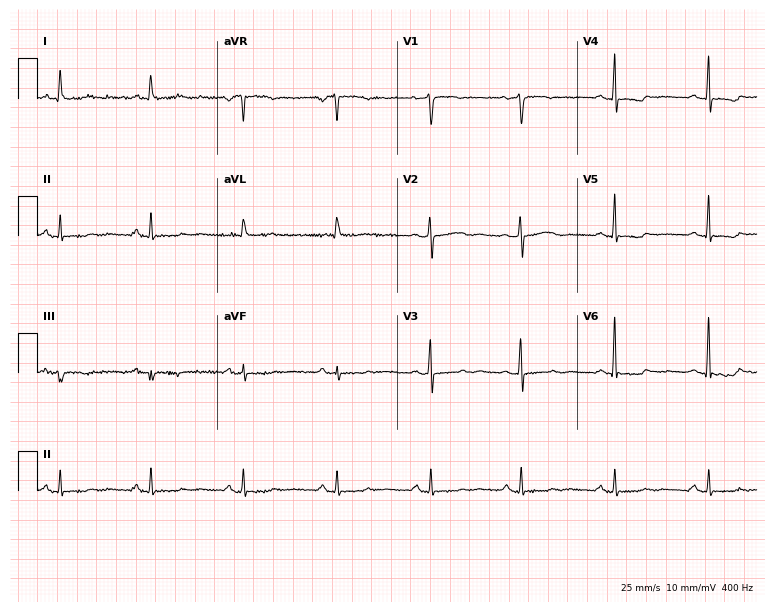
Electrocardiogram, a 57-year-old female. Of the six screened findings (first-degree AV block, right bundle branch block (RBBB), left bundle branch block (LBBB), sinus bradycardia, atrial fibrillation (AF), sinus tachycardia), none is recorded.